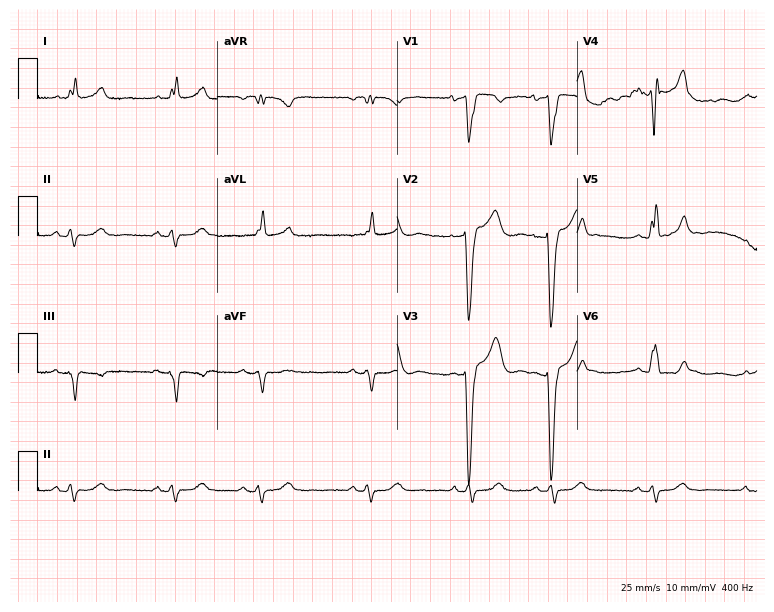
Standard 12-lead ECG recorded from a female patient, 80 years old. None of these six findings is recorded: first-degree AV block, right bundle branch block, left bundle branch block, sinus bradycardia, atrial fibrillation, sinus tachycardia. Findings outside these six are not listed.